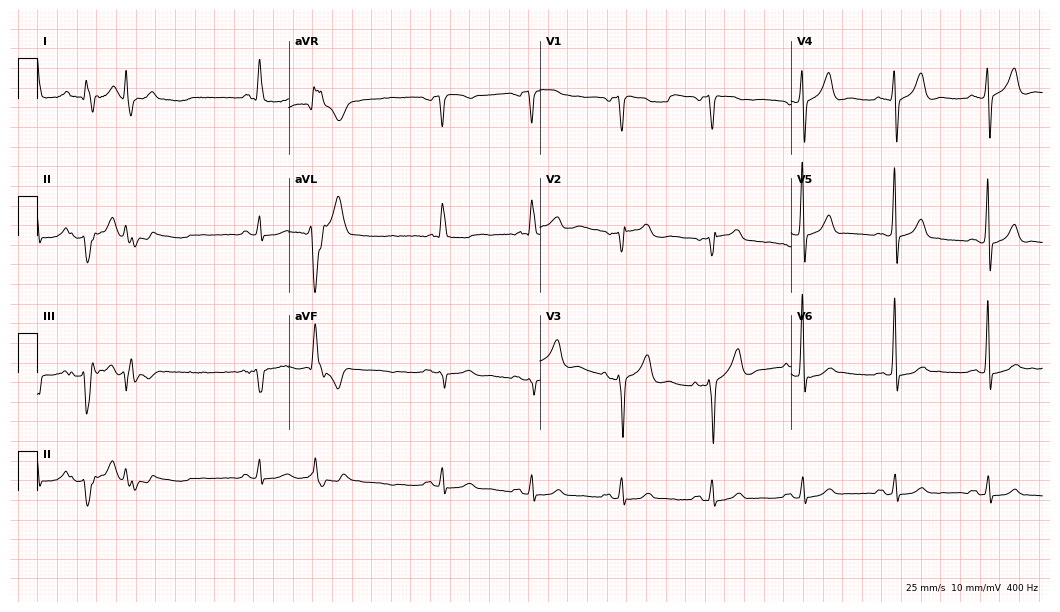
12-lead ECG from a 72-year-old man (10.2-second recording at 400 Hz). No first-degree AV block, right bundle branch block, left bundle branch block, sinus bradycardia, atrial fibrillation or sinus tachycardia recorded for this tracing. Other findings, if any, are not listed.